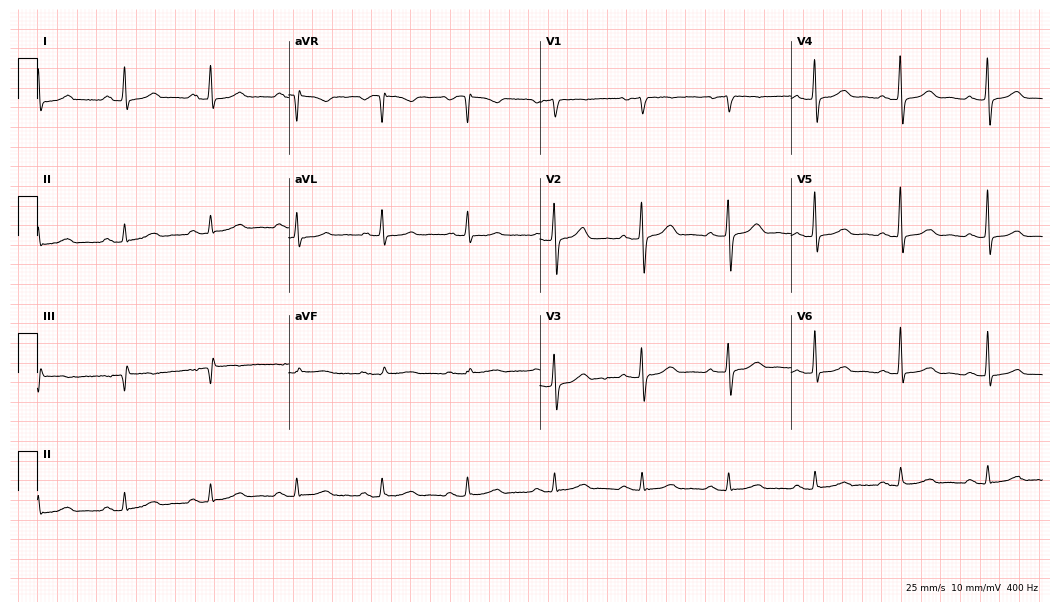
ECG — a female, 57 years old. Labelled as a normal ECG.